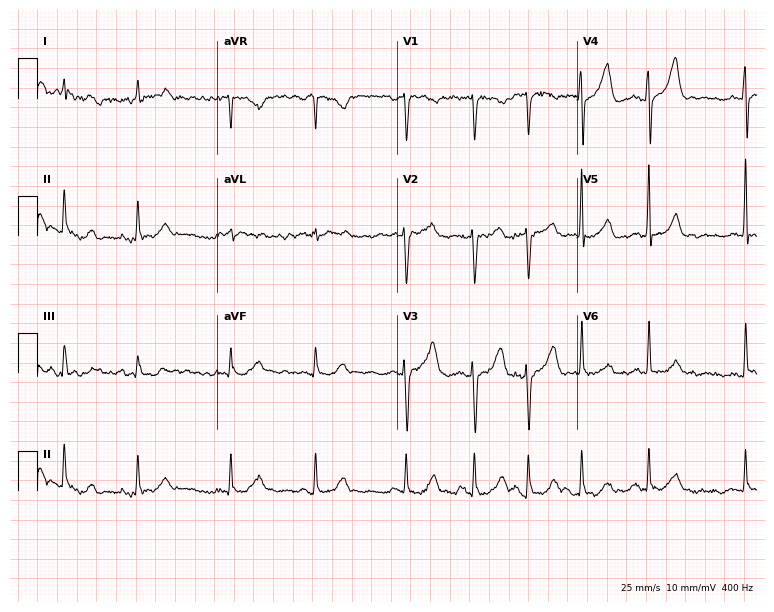
ECG (7.3-second recording at 400 Hz) — a 78-year-old man. Screened for six findings — first-degree AV block, right bundle branch block (RBBB), left bundle branch block (LBBB), sinus bradycardia, atrial fibrillation (AF), sinus tachycardia — none is recorded. Other findings, if any, are not listed.